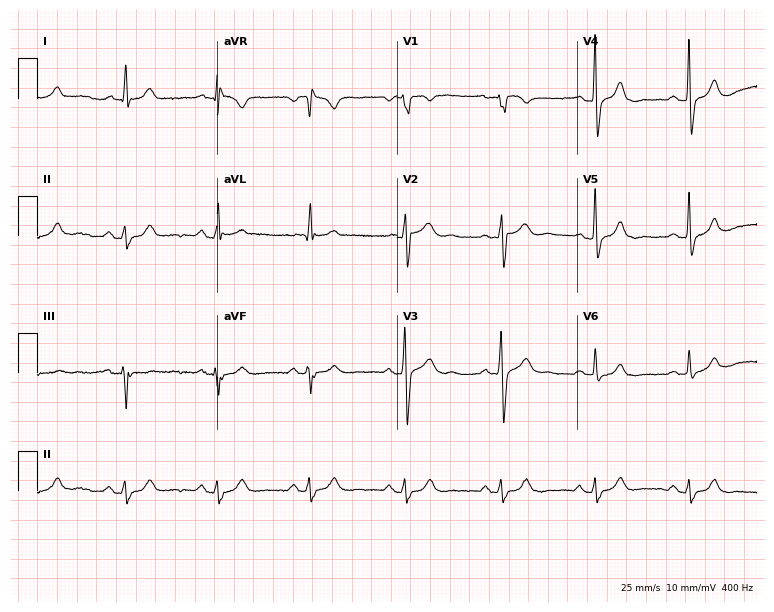
ECG — a 61-year-old male. Labelled as a normal ECG.